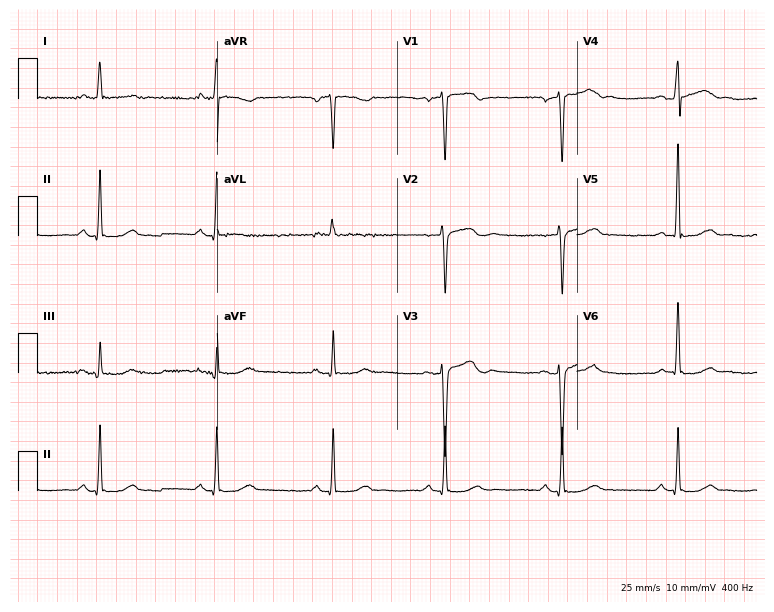
Electrocardiogram (7.3-second recording at 400 Hz), a male patient, 52 years old. Overall reading on record: normal ECG.